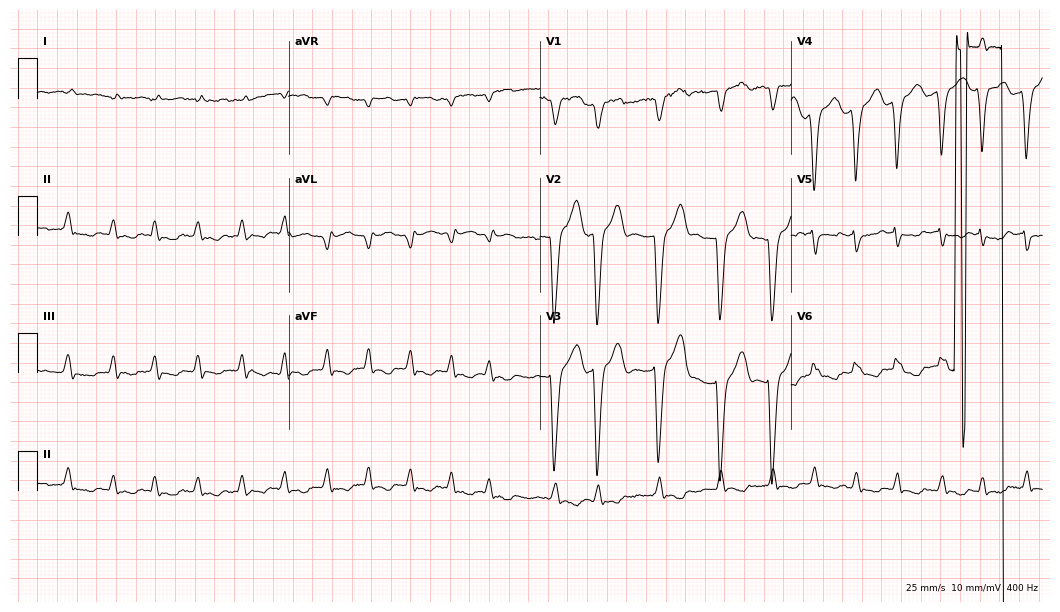
Resting 12-lead electrocardiogram (10.2-second recording at 400 Hz). Patient: an 84-year-old woman. The tracing shows atrial fibrillation.